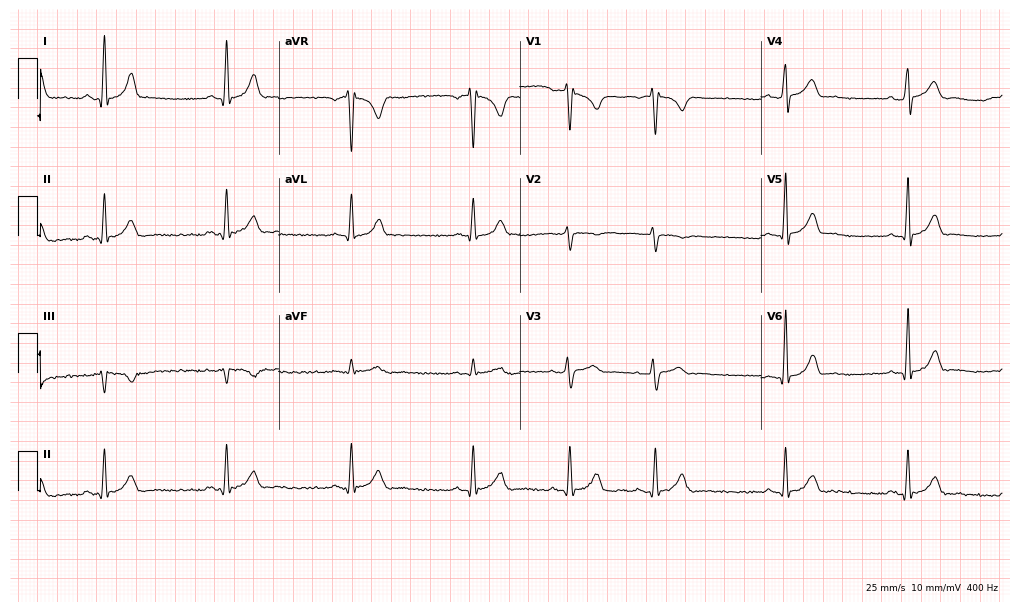
12-lead ECG from a 23-year-old woman (9.8-second recording at 400 Hz). No first-degree AV block, right bundle branch block (RBBB), left bundle branch block (LBBB), sinus bradycardia, atrial fibrillation (AF) or sinus tachycardia recorded for this tracing.